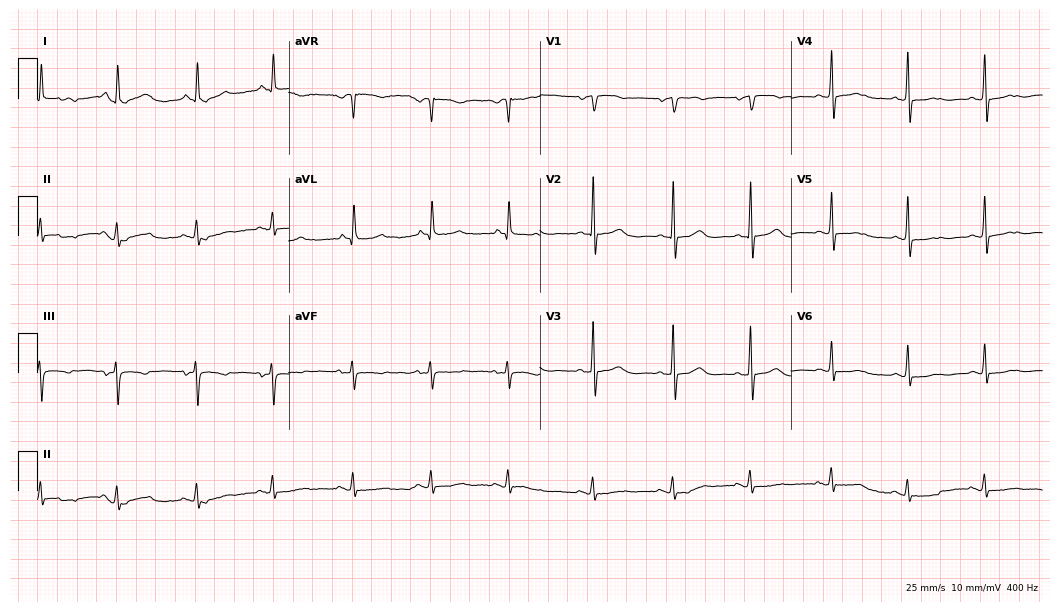
12-lead ECG (10.2-second recording at 400 Hz) from a woman, 78 years old. Labelled as a normal ECG.